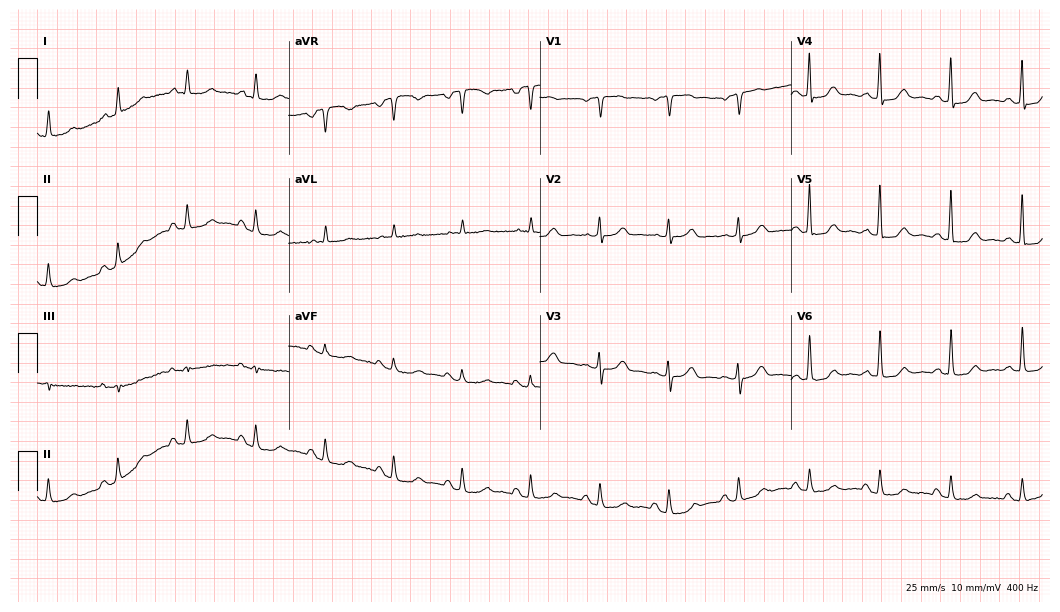
ECG — a woman, 67 years old. Screened for six findings — first-degree AV block, right bundle branch block (RBBB), left bundle branch block (LBBB), sinus bradycardia, atrial fibrillation (AF), sinus tachycardia — none is recorded.